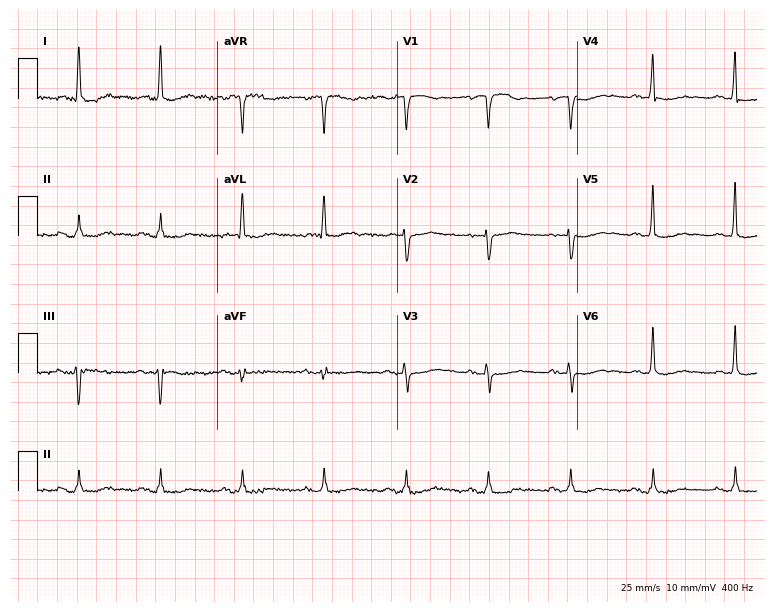
12-lead ECG (7.3-second recording at 400 Hz) from a female patient, 68 years old. Screened for six findings — first-degree AV block, right bundle branch block (RBBB), left bundle branch block (LBBB), sinus bradycardia, atrial fibrillation (AF), sinus tachycardia — none is recorded.